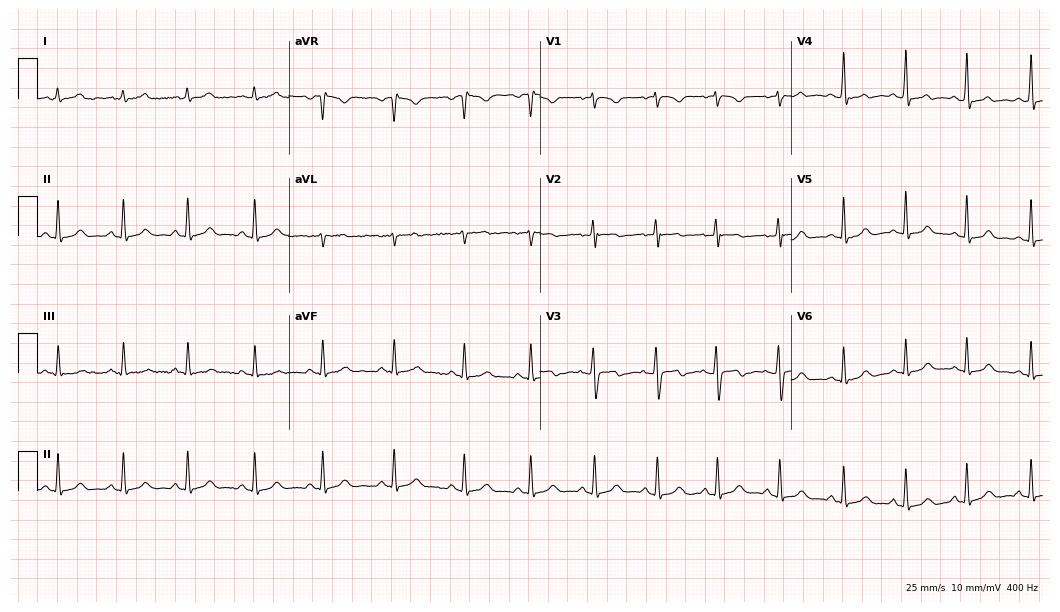
Resting 12-lead electrocardiogram (10.2-second recording at 400 Hz). Patient: a female, 18 years old. None of these six findings is recorded: first-degree AV block, right bundle branch block, left bundle branch block, sinus bradycardia, atrial fibrillation, sinus tachycardia.